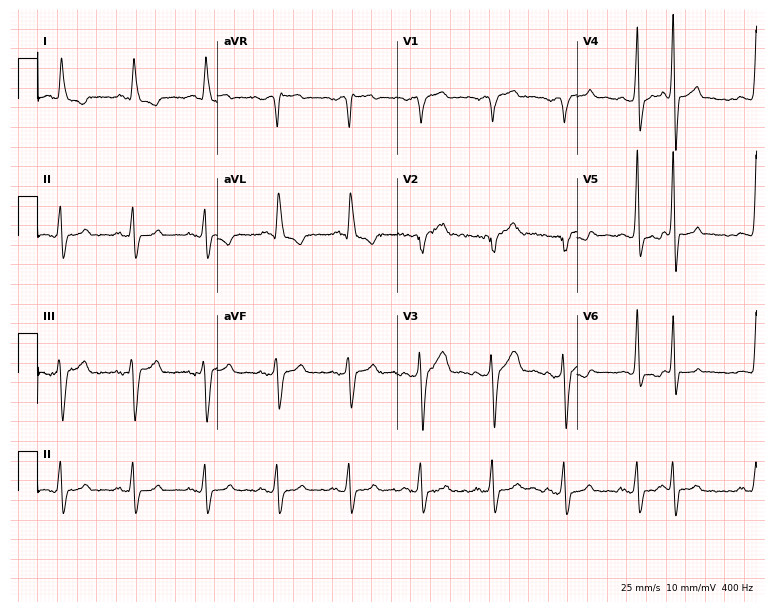
Standard 12-lead ECG recorded from a male, 65 years old (7.3-second recording at 400 Hz). None of these six findings is recorded: first-degree AV block, right bundle branch block, left bundle branch block, sinus bradycardia, atrial fibrillation, sinus tachycardia.